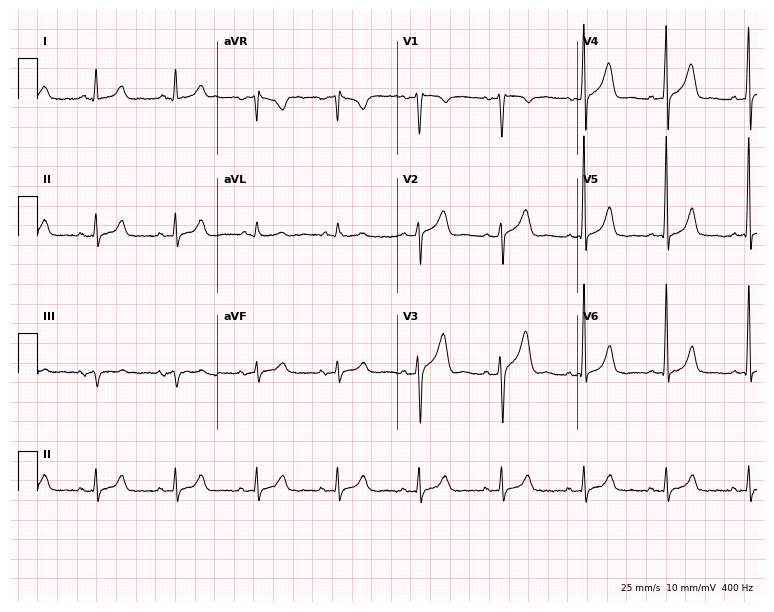
Standard 12-lead ECG recorded from a man, 39 years old (7.3-second recording at 400 Hz). None of these six findings is recorded: first-degree AV block, right bundle branch block, left bundle branch block, sinus bradycardia, atrial fibrillation, sinus tachycardia. Findings outside these six are not listed.